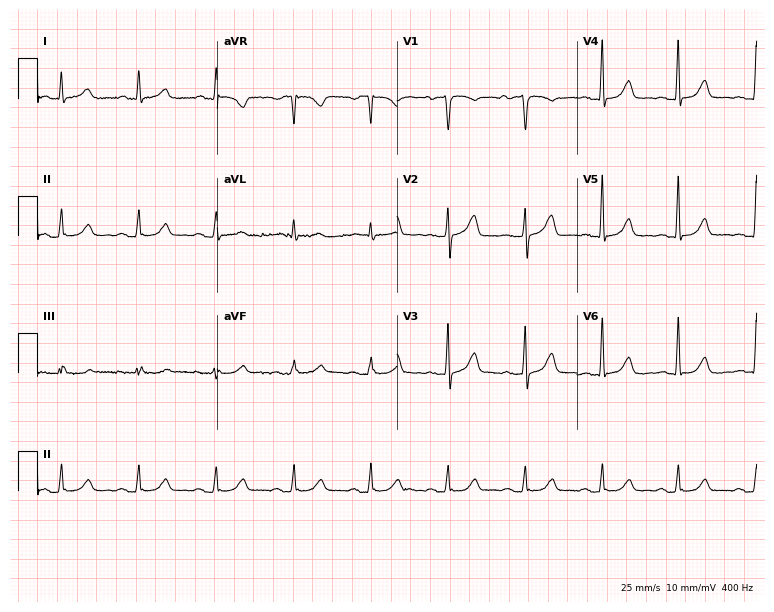
Electrocardiogram (7.3-second recording at 400 Hz), a female, 65 years old. Overall reading on record: normal ECG.